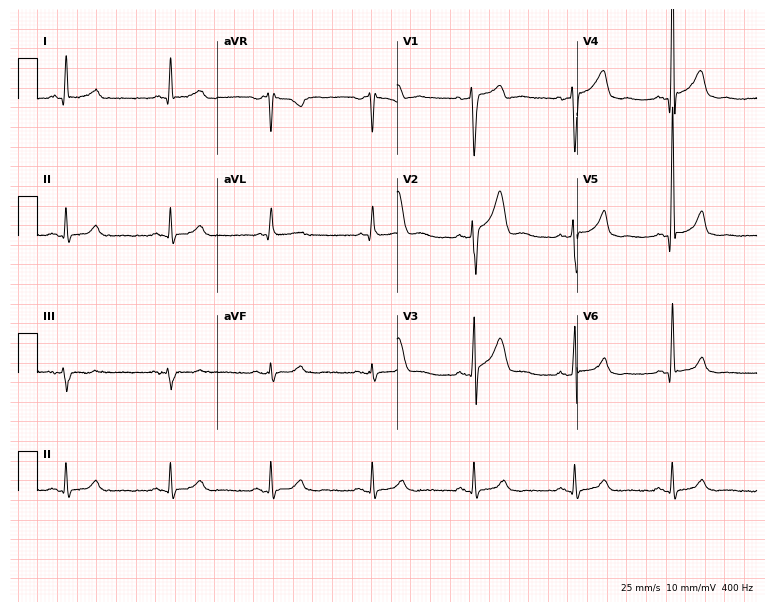
12-lead ECG (7.3-second recording at 400 Hz) from a 47-year-old male patient. Screened for six findings — first-degree AV block, right bundle branch block, left bundle branch block, sinus bradycardia, atrial fibrillation, sinus tachycardia — none is recorded. Other findings, if any, are not listed.